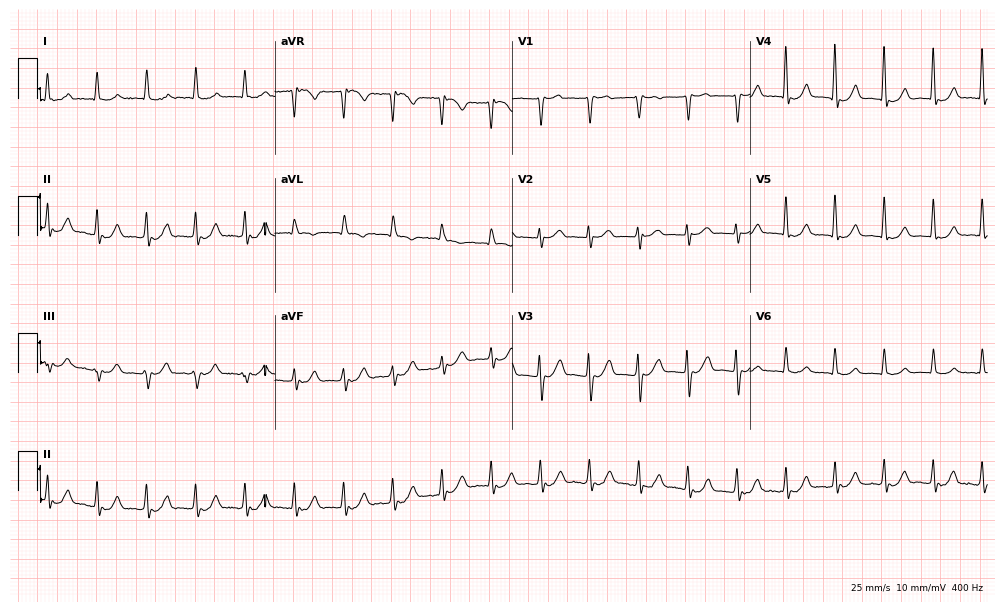
12-lead ECG from an 86-year-old woman. Findings include sinus tachycardia (a sinus rate of 100 beats per minute or more).